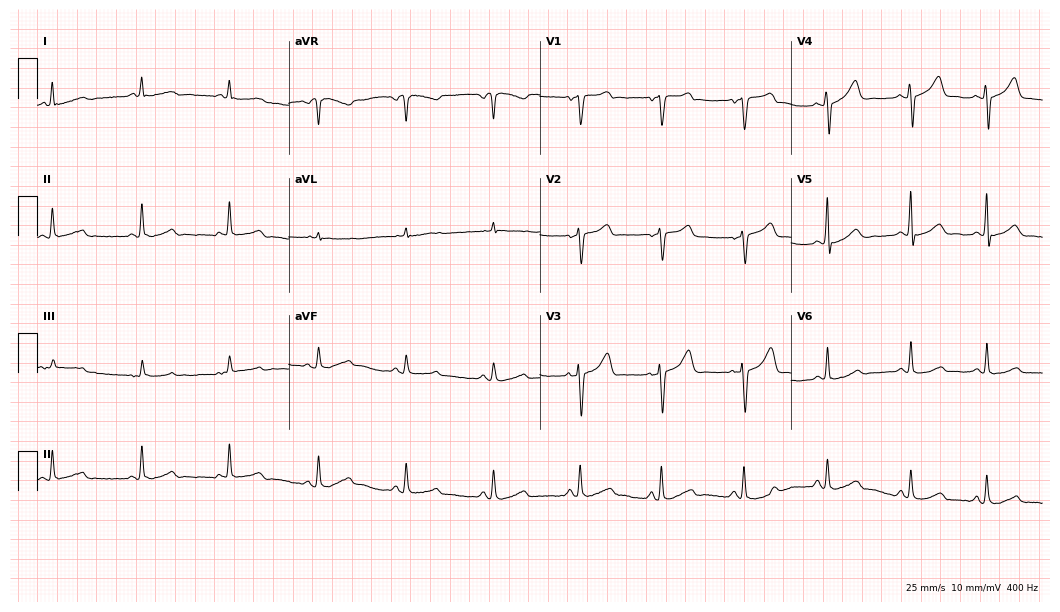
ECG (10.2-second recording at 400 Hz) — a woman, 64 years old. Labelled as a normal ECG.